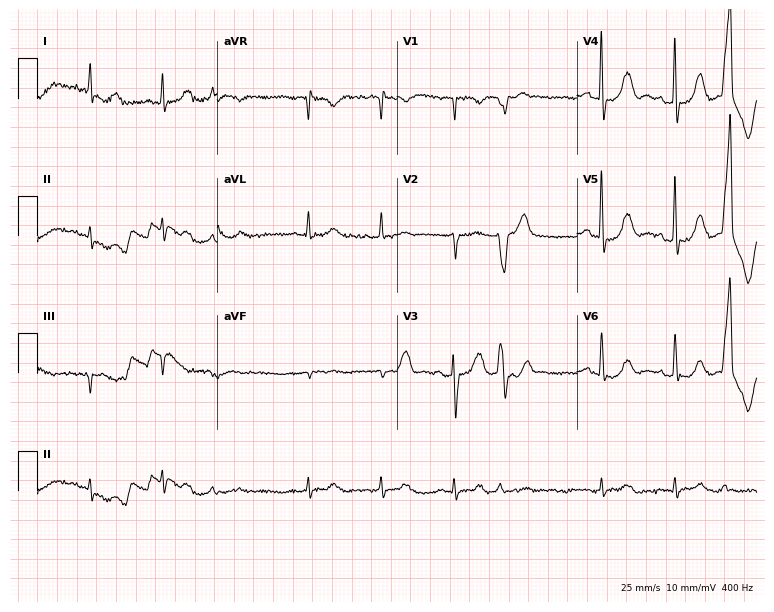
12-lead ECG from an 84-year-old male patient. Screened for six findings — first-degree AV block, right bundle branch block, left bundle branch block, sinus bradycardia, atrial fibrillation, sinus tachycardia — none is recorded.